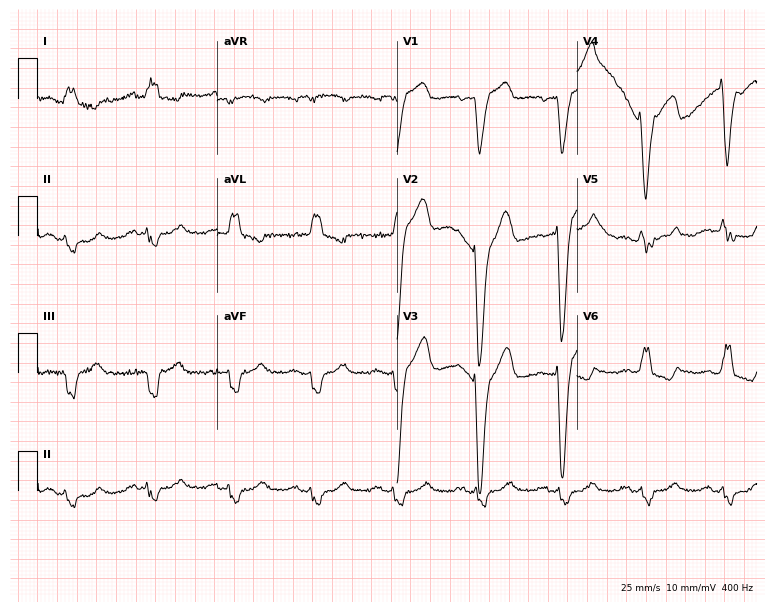
ECG — an 80-year-old man. Findings include left bundle branch block.